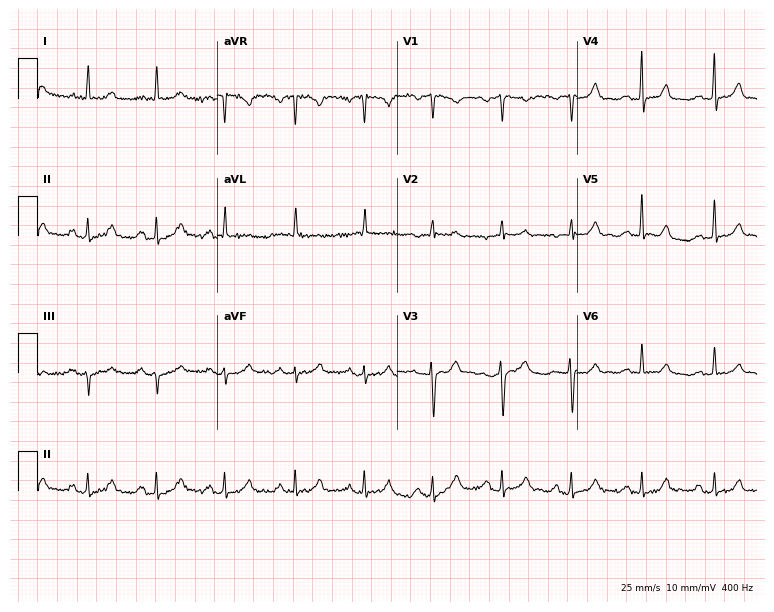
12-lead ECG (7.3-second recording at 400 Hz) from a woman, 63 years old. Screened for six findings — first-degree AV block, right bundle branch block, left bundle branch block, sinus bradycardia, atrial fibrillation, sinus tachycardia — none is recorded. Findings outside these six are not listed.